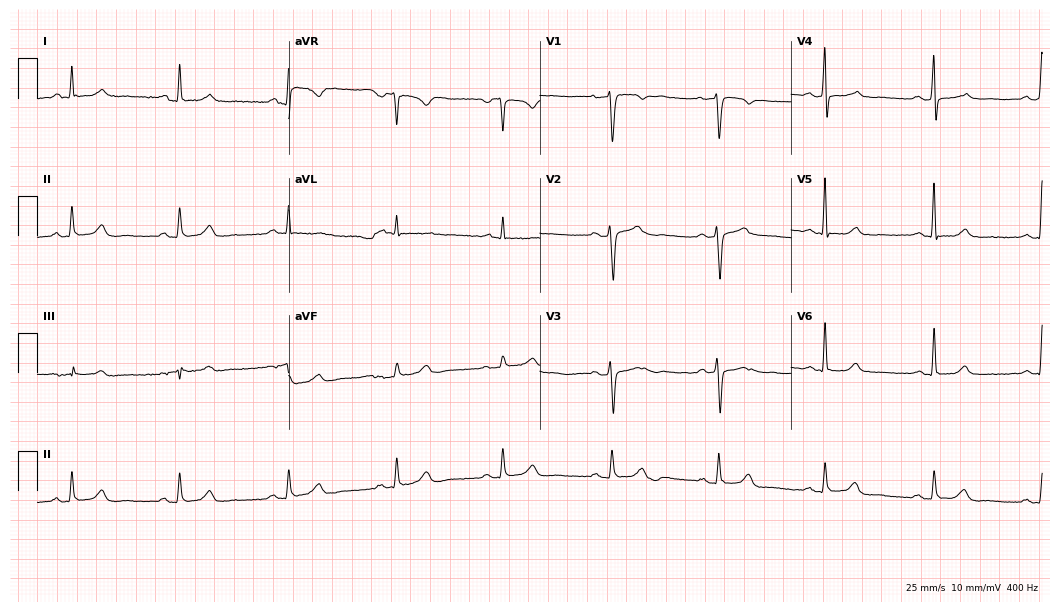
Standard 12-lead ECG recorded from a man, 52 years old. Read as a normal ECG.